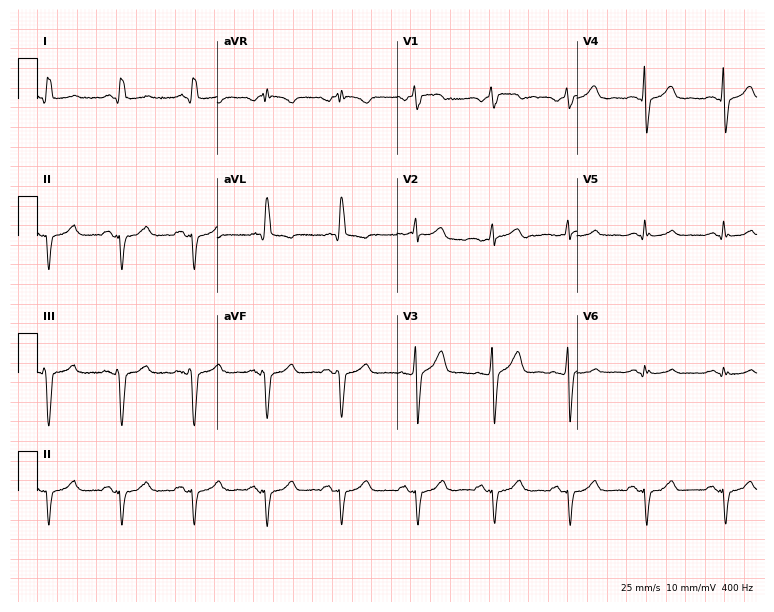
Resting 12-lead electrocardiogram. Patient: a 63-year-old man. None of these six findings is recorded: first-degree AV block, right bundle branch block, left bundle branch block, sinus bradycardia, atrial fibrillation, sinus tachycardia. Other findings, if any, are not listed.